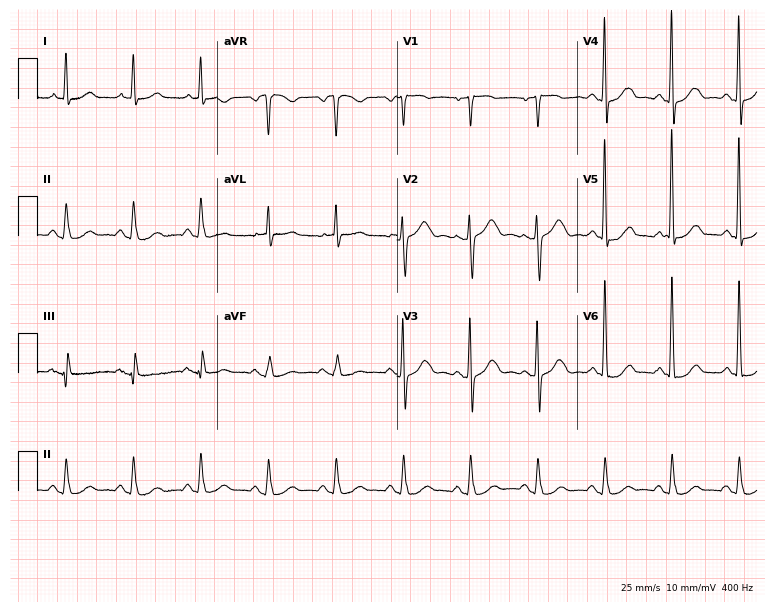
Electrocardiogram, a 75-year-old male. Of the six screened findings (first-degree AV block, right bundle branch block, left bundle branch block, sinus bradycardia, atrial fibrillation, sinus tachycardia), none is recorded. Other findings, if any, are not listed.